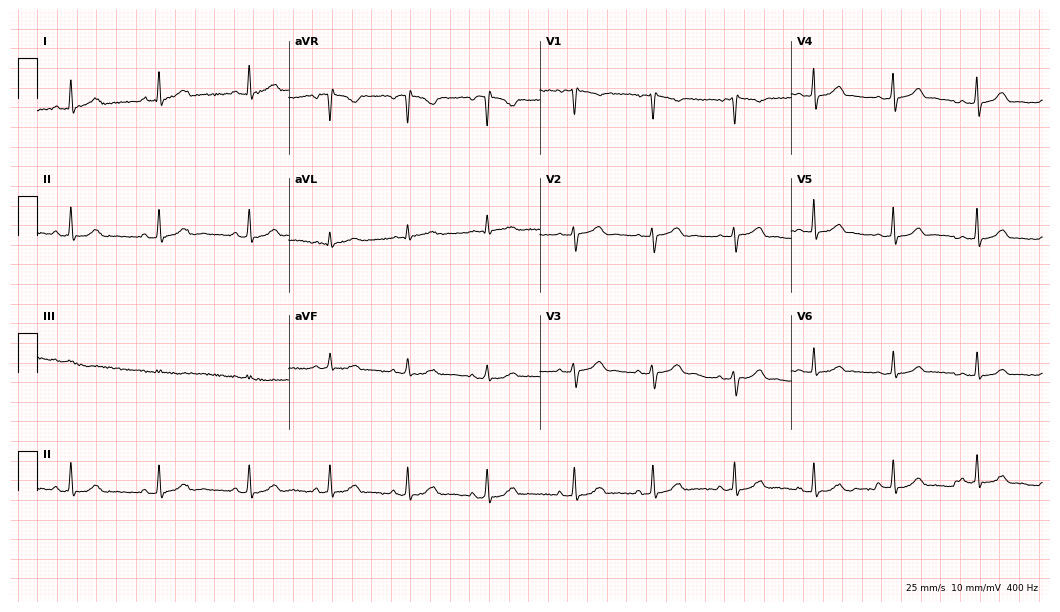
Standard 12-lead ECG recorded from a female, 38 years old (10.2-second recording at 400 Hz). Read as a normal ECG.